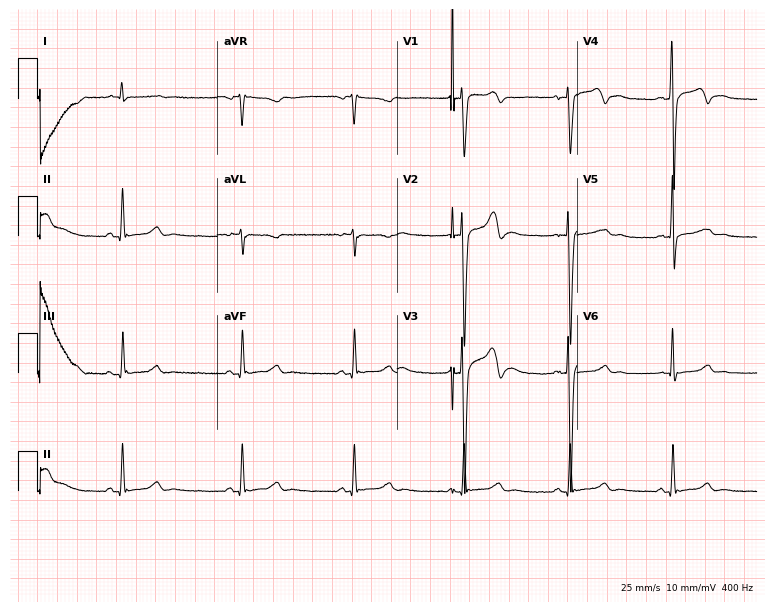
ECG — a 27-year-old male patient. Labelled as a normal ECG.